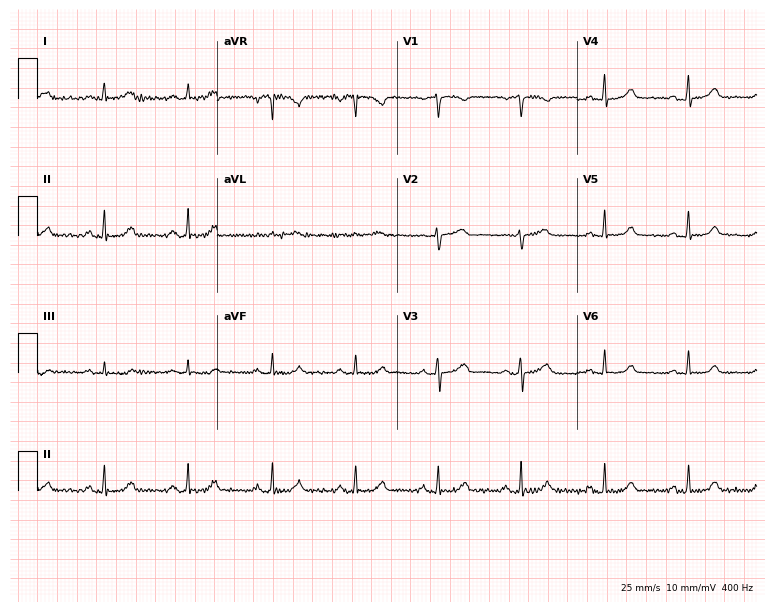
ECG — a 54-year-old female patient. Labelled as a normal ECG.